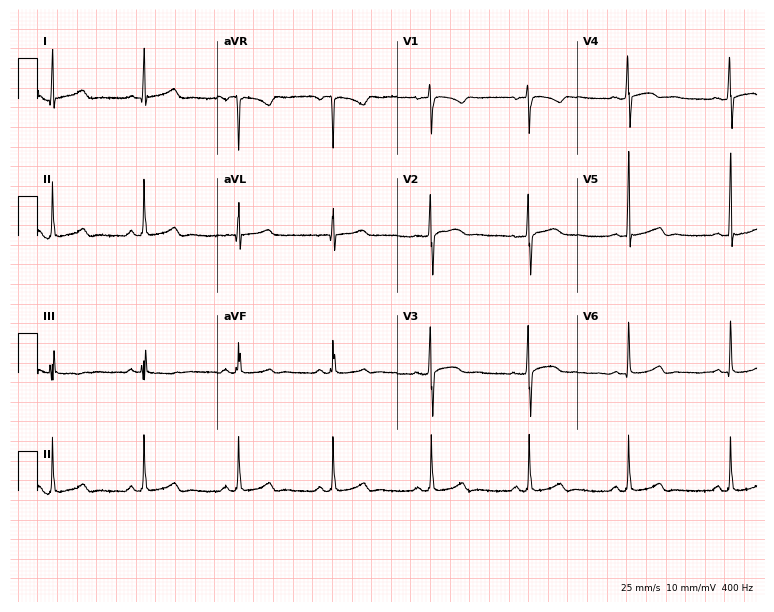
12-lead ECG from a female, 40 years old. Recorded interpretation: within normal limits.